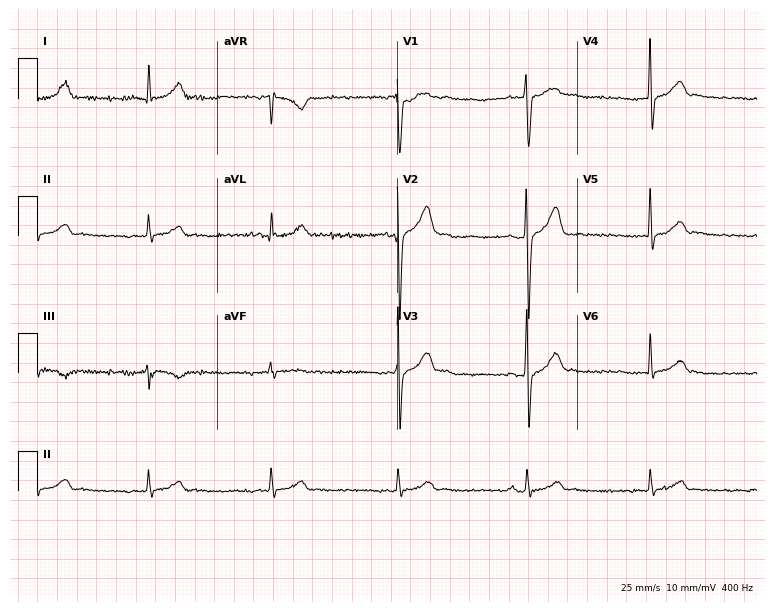
12-lead ECG from a 29-year-old male patient (7.3-second recording at 400 Hz). Recorded interpretation: within normal limits.